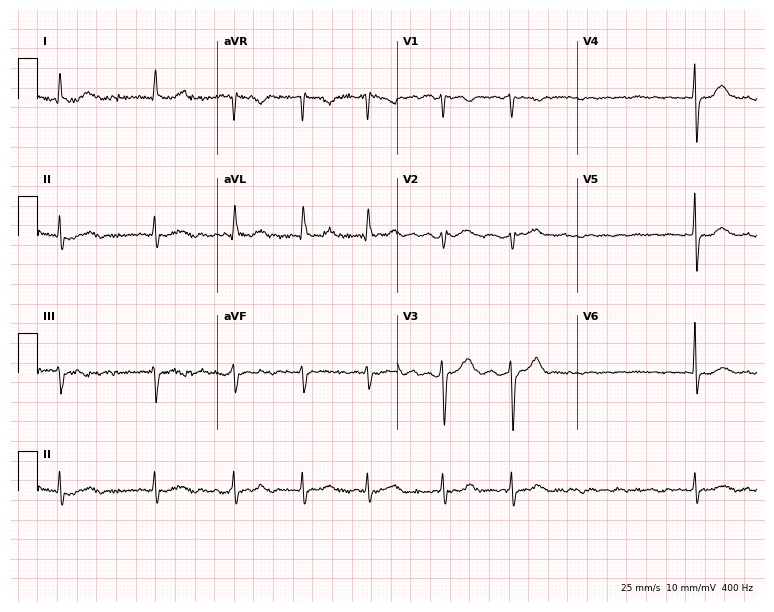
Standard 12-lead ECG recorded from a 79-year-old female patient. None of these six findings is recorded: first-degree AV block, right bundle branch block (RBBB), left bundle branch block (LBBB), sinus bradycardia, atrial fibrillation (AF), sinus tachycardia. Other findings, if any, are not listed.